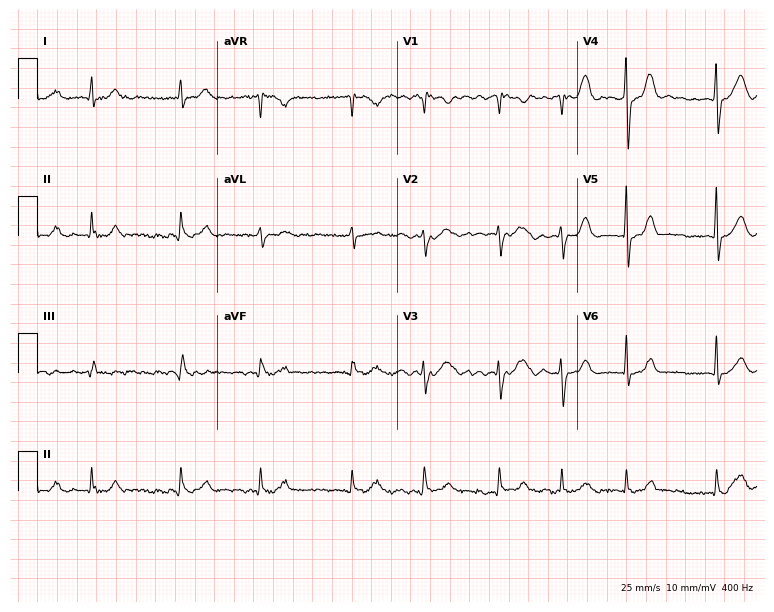
ECG (7.3-second recording at 400 Hz) — a male, 77 years old. Findings include atrial fibrillation (AF).